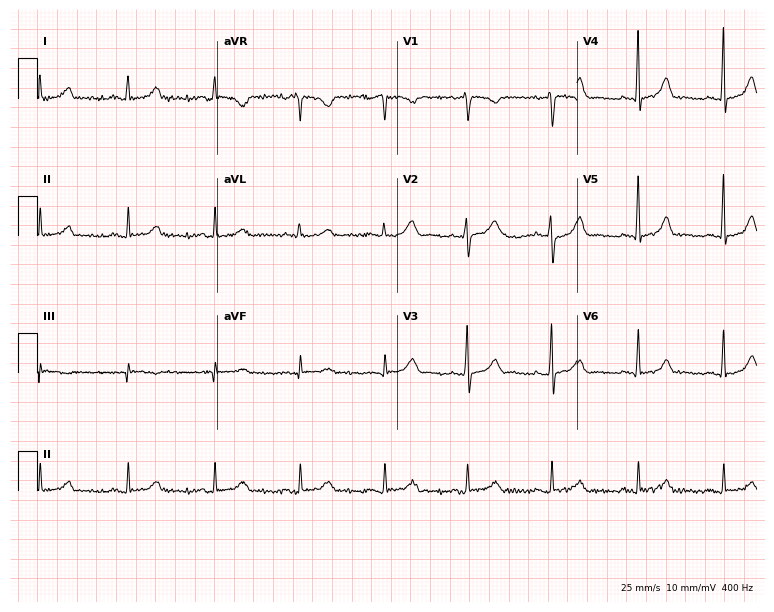
Electrocardiogram, a female, 36 years old. Overall reading on record: normal ECG.